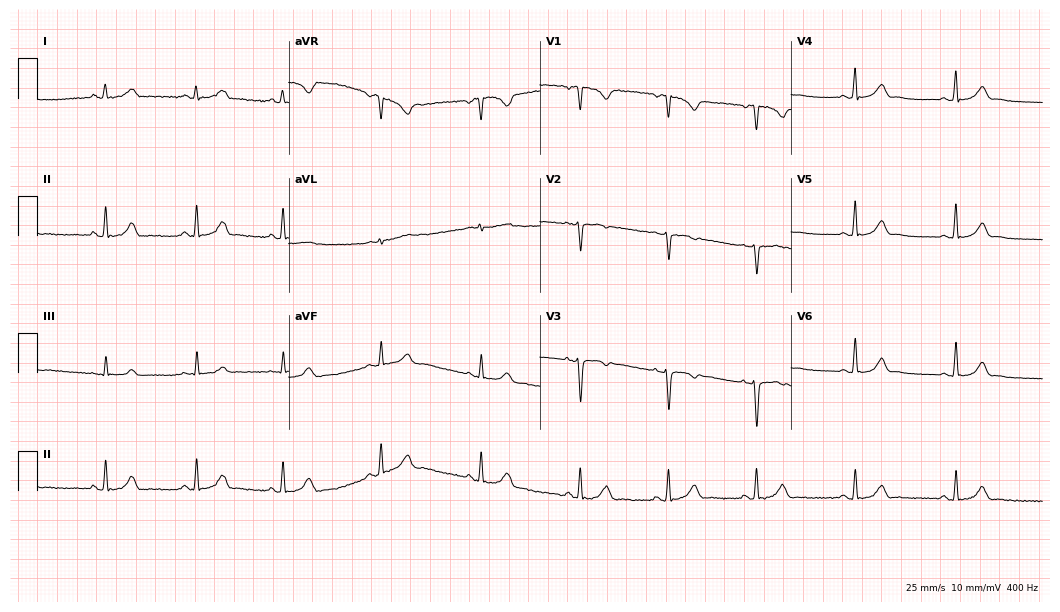
Resting 12-lead electrocardiogram (10.2-second recording at 400 Hz). Patient: a woman, 35 years old. Read as a normal ECG.